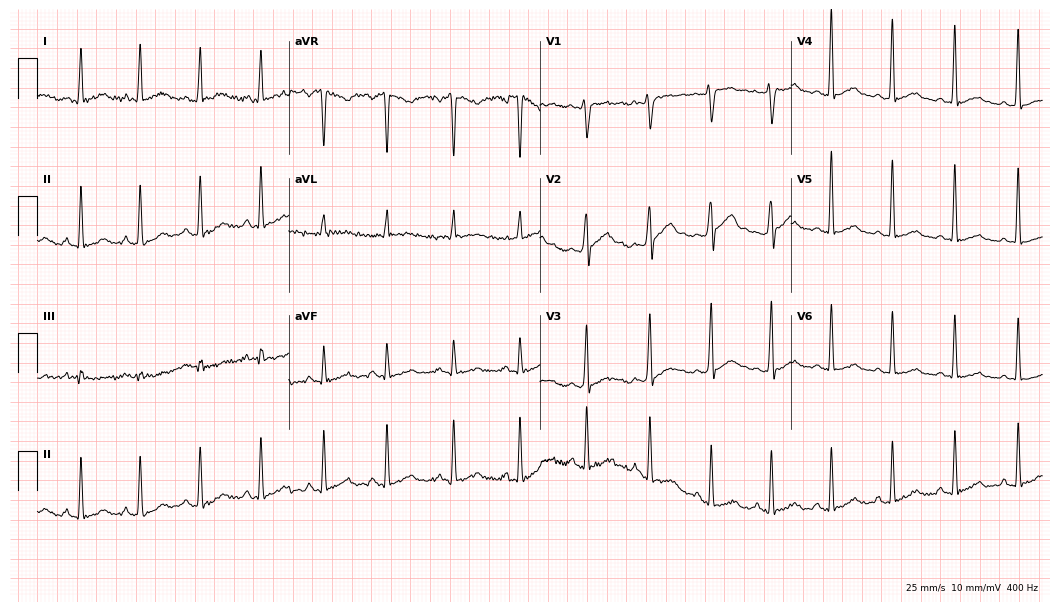
Electrocardiogram (10.2-second recording at 400 Hz), a 30-year-old male patient. Overall reading on record: normal ECG.